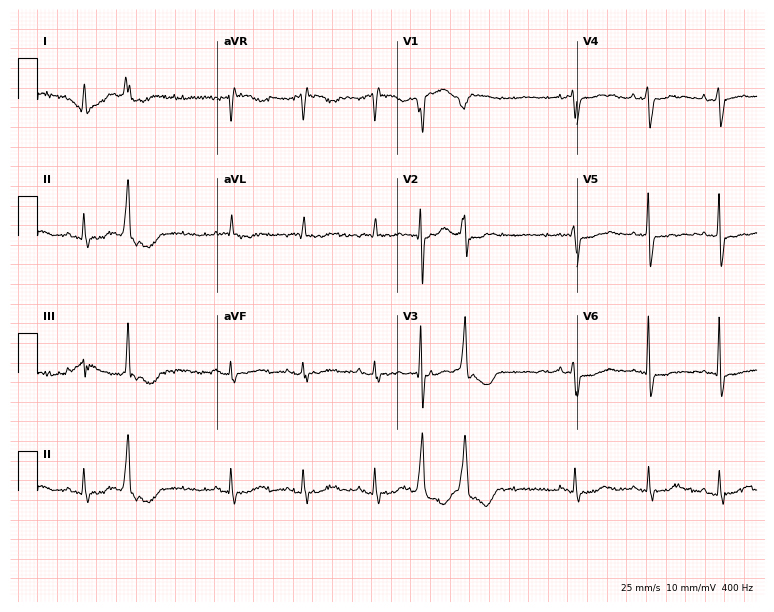
Standard 12-lead ECG recorded from a 70-year-old female patient (7.3-second recording at 400 Hz). None of these six findings is recorded: first-degree AV block, right bundle branch block, left bundle branch block, sinus bradycardia, atrial fibrillation, sinus tachycardia.